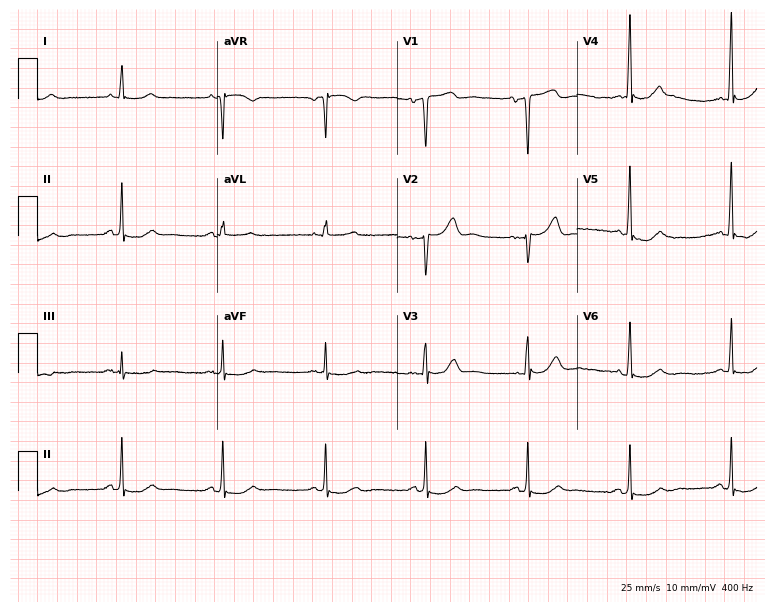
ECG — a male patient, 71 years old. Screened for six findings — first-degree AV block, right bundle branch block, left bundle branch block, sinus bradycardia, atrial fibrillation, sinus tachycardia — none is recorded. Only these six findings were labelled.